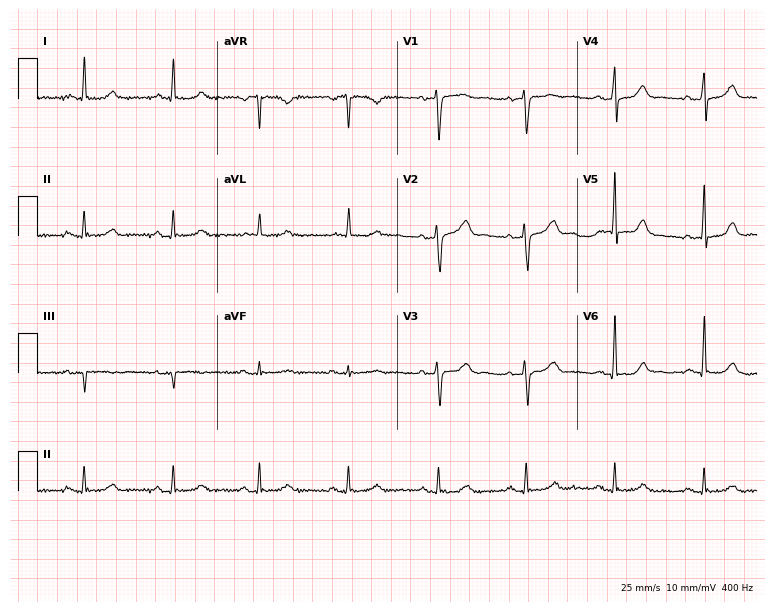
ECG (7.3-second recording at 400 Hz) — a 64-year-old female. Labelled as a normal ECG.